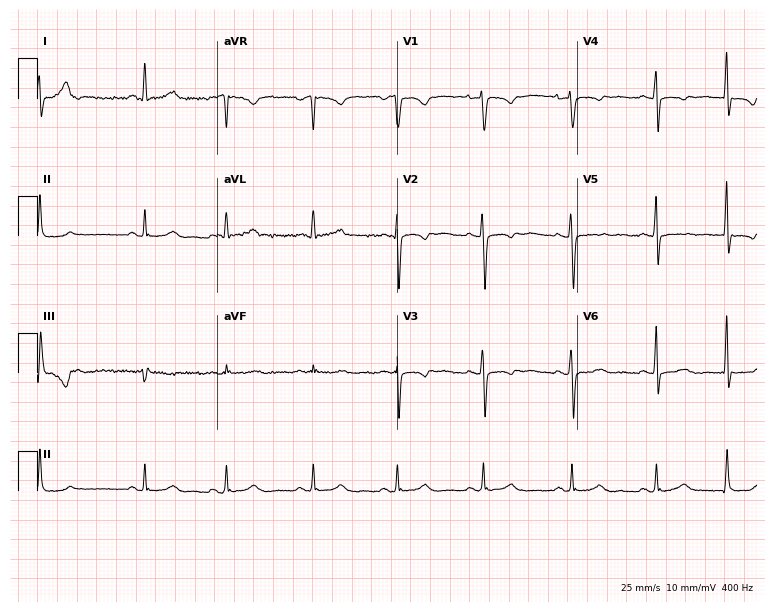
ECG — a 26-year-old female. Screened for six findings — first-degree AV block, right bundle branch block, left bundle branch block, sinus bradycardia, atrial fibrillation, sinus tachycardia — none is recorded. Findings outside these six are not listed.